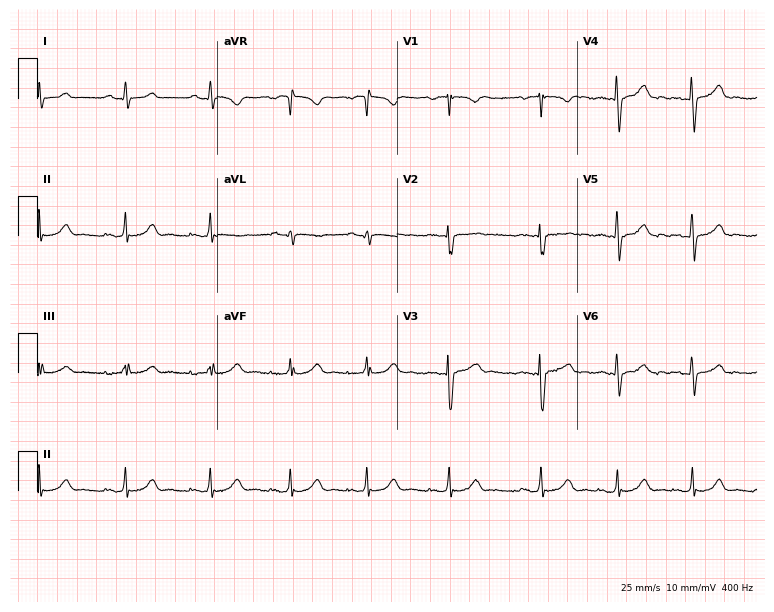
12-lead ECG from a 19-year-old female patient (7.3-second recording at 400 Hz). No first-degree AV block, right bundle branch block (RBBB), left bundle branch block (LBBB), sinus bradycardia, atrial fibrillation (AF) or sinus tachycardia recorded for this tracing. Findings outside these six are not listed.